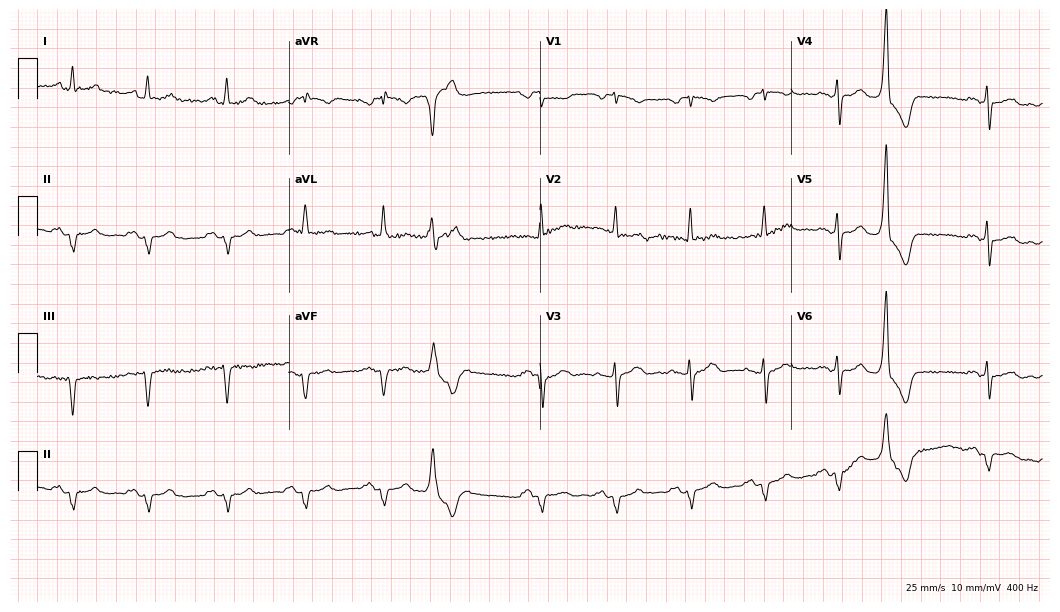
Standard 12-lead ECG recorded from a 78-year-old man. None of these six findings is recorded: first-degree AV block, right bundle branch block (RBBB), left bundle branch block (LBBB), sinus bradycardia, atrial fibrillation (AF), sinus tachycardia.